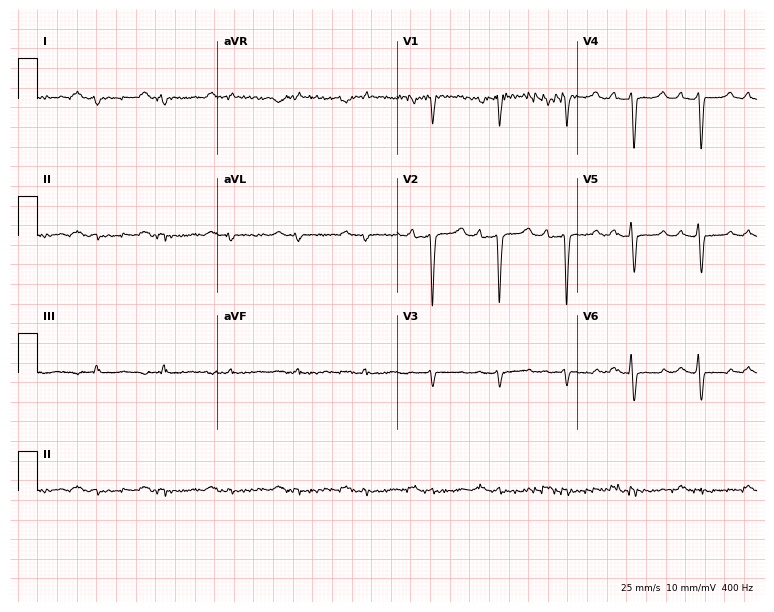
Resting 12-lead electrocardiogram. Patient: a 45-year-old male. None of these six findings is recorded: first-degree AV block, right bundle branch block (RBBB), left bundle branch block (LBBB), sinus bradycardia, atrial fibrillation (AF), sinus tachycardia.